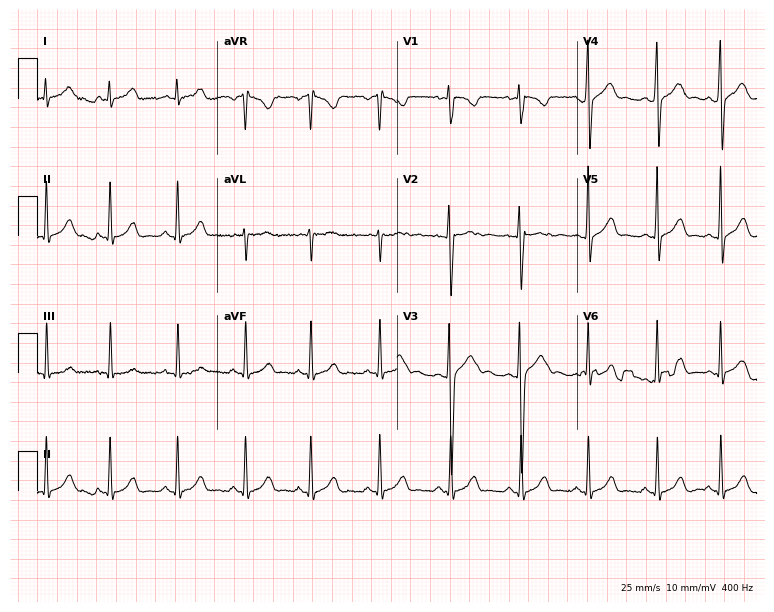
ECG (7.3-second recording at 400 Hz) — a 17-year-old male. Labelled as a normal ECG.